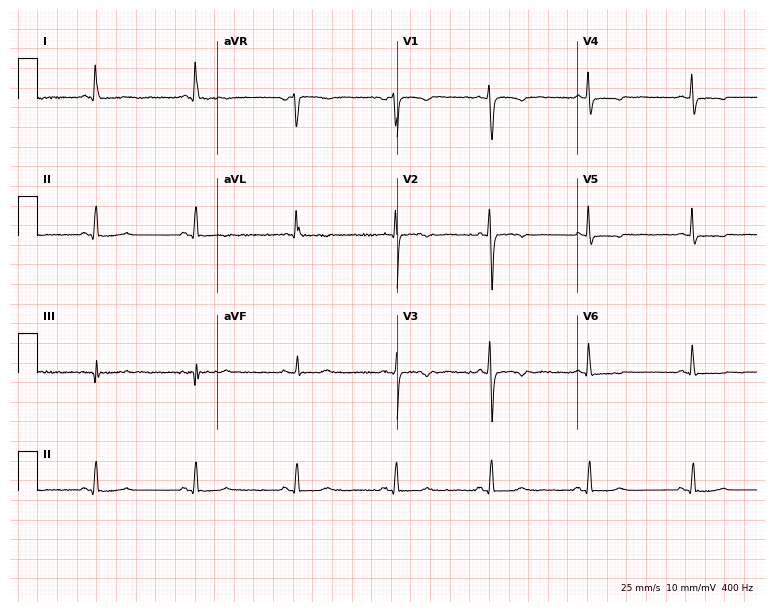
Standard 12-lead ECG recorded from a female patient, 54 years old (7.3-second recording at 400 Hz). Read as a normal ECG.